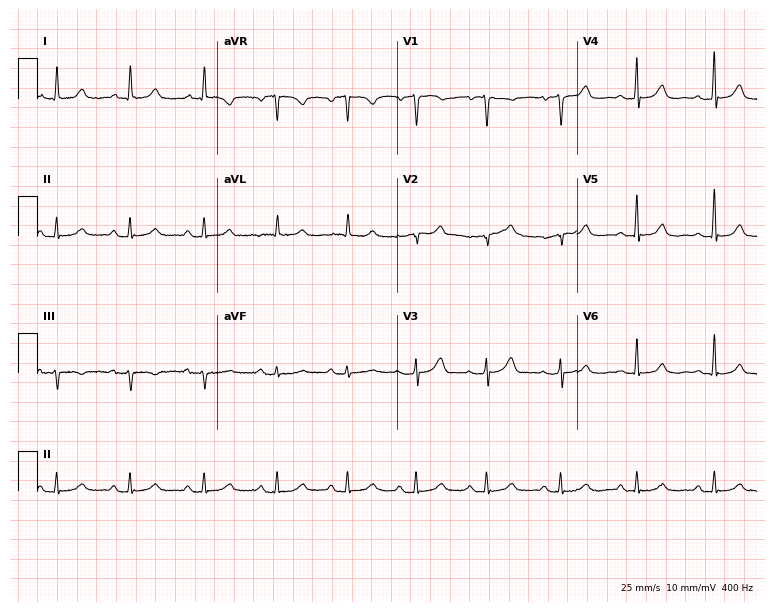
Electrocardiogram (7.3-second recording at 400 Hz), a female patient, 76 years old. Overall reading on record: normal ECG.